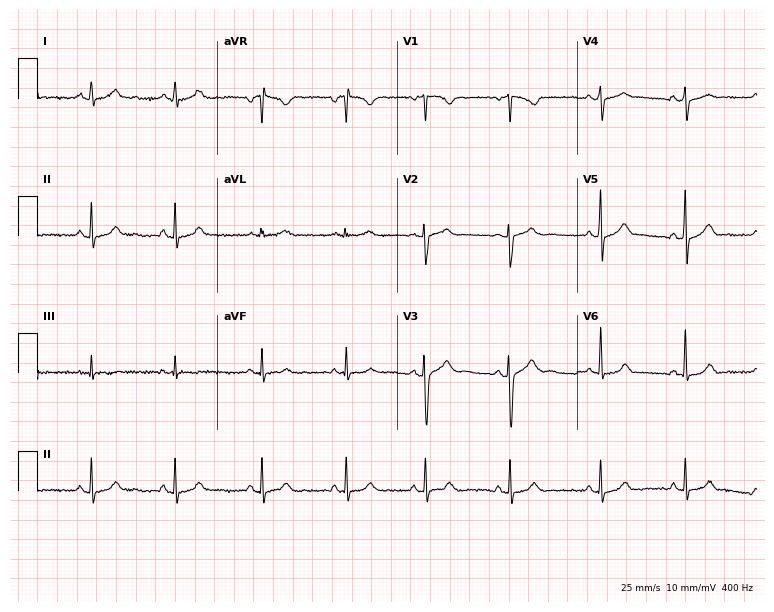
12-lead ECG from a 25-year-old female patient. Recorded interpretation: within normal limits.